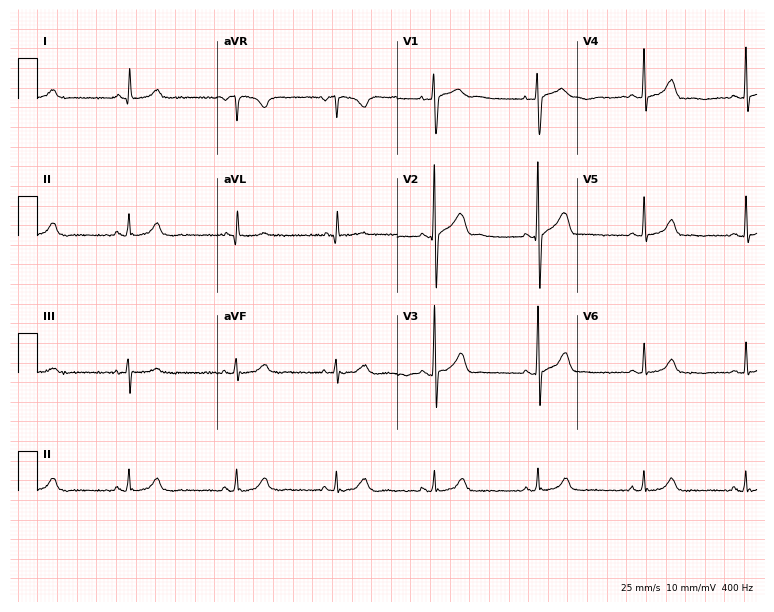
Electrocardiogram (7.3-second recording at 400 Hz), a man, 28 years old. Overall reading on record: normal ECG.